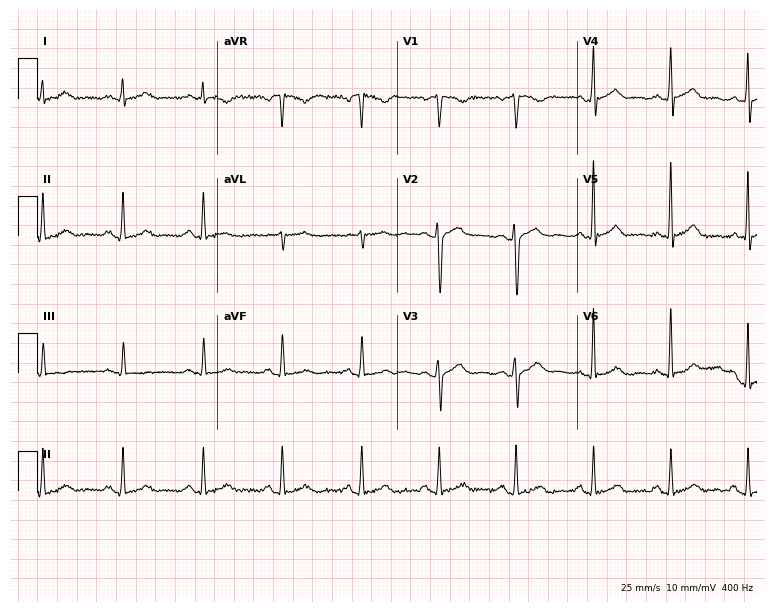
Electrocardiogram, a female patient, 48 years old. Of the six screened findings (first-degree AV block, right bundle branch block, left bundle branch block, sinus bradycardia, atrial fibrillation, sinus tachycardia), none is recorded. Other findings, if any, are not listed.